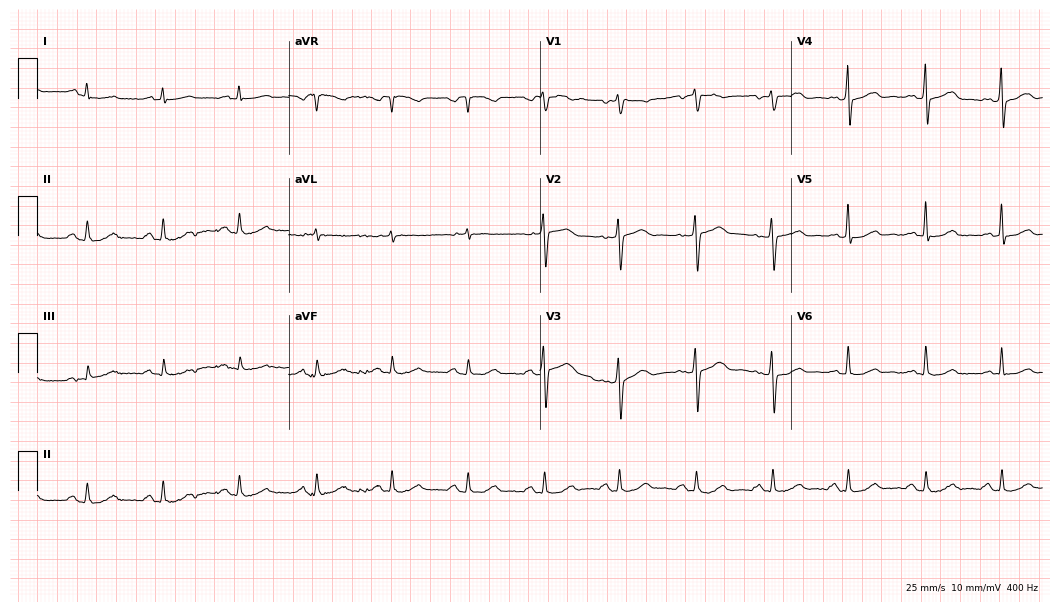
Resting 12-lead electrocardiogram. Patient: a 45-year-old male. Read as a normal ECG.